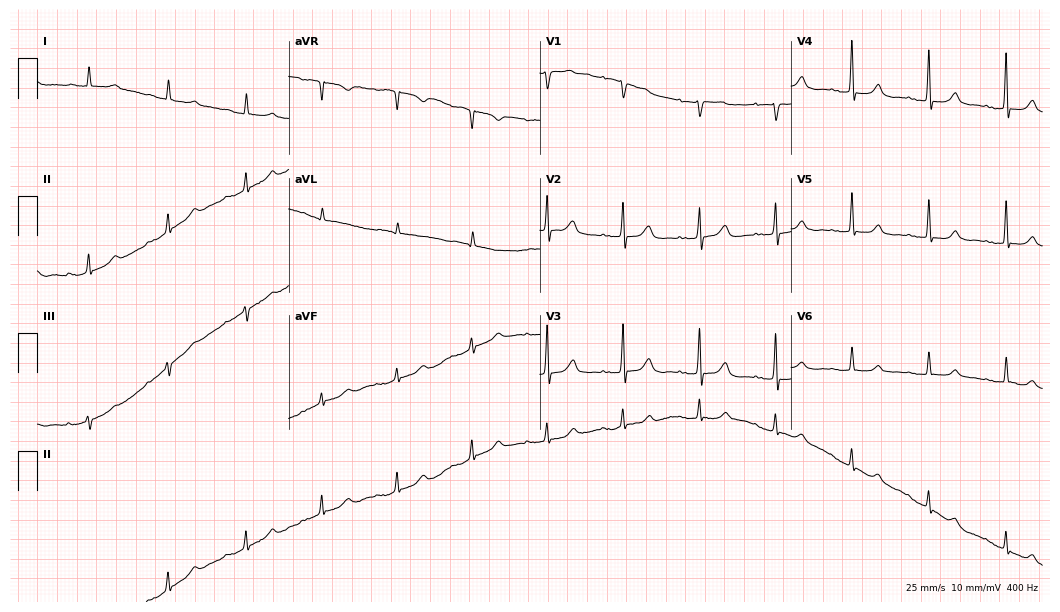
12-lead ECG from a female patient, 81 years old. No first-degree AV block, right bundle branch block, left bundle branch block, sinus bradycardia, atrial fibrillation or sinus tachycardia recorded for this tracing.